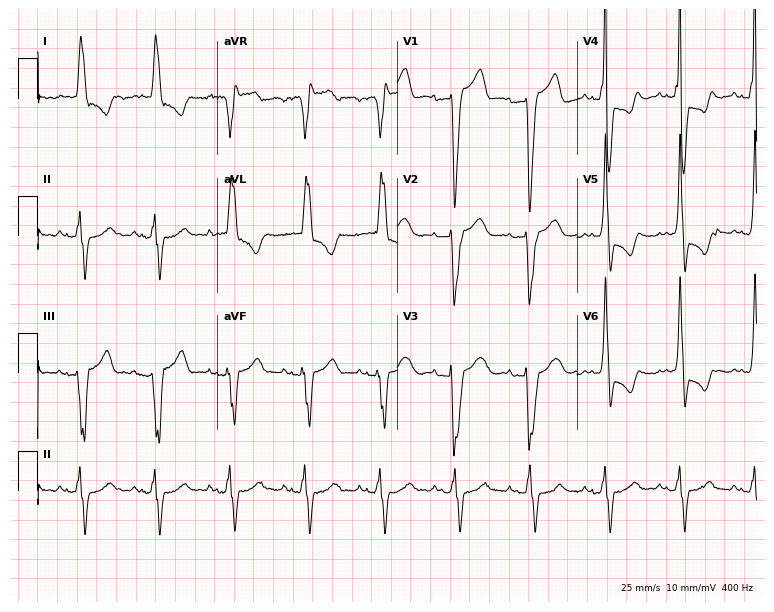
12-lead ECG (7.3-second recording at 400 Hz) from a female, 84 years old. Findings include left bundle branch block.